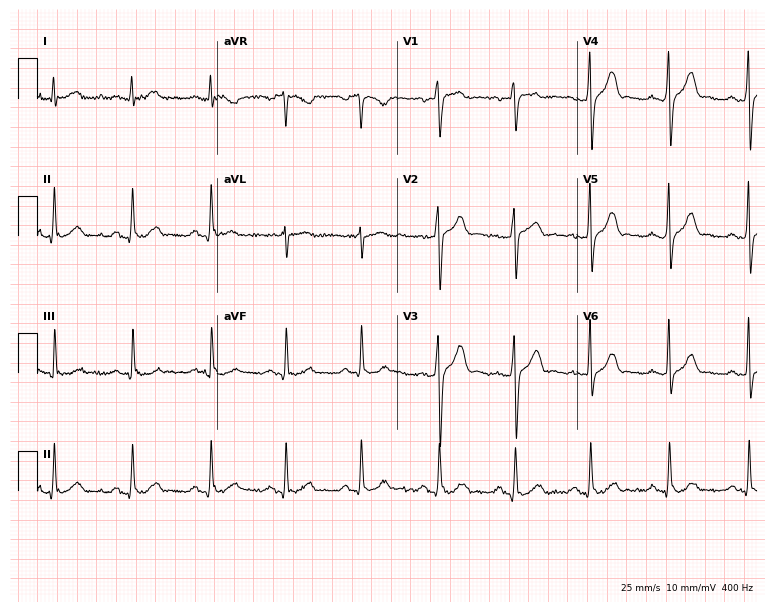
12-lead ECG from a 38-year-old man. Recorded interpretation: within normal limits.